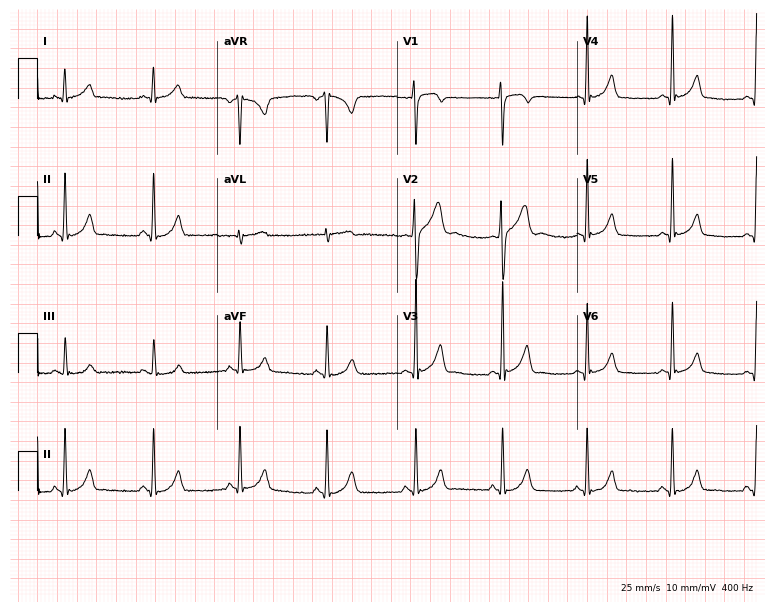
12-lead ECG from a 26-year-old man. Labelled as a normal ECG.